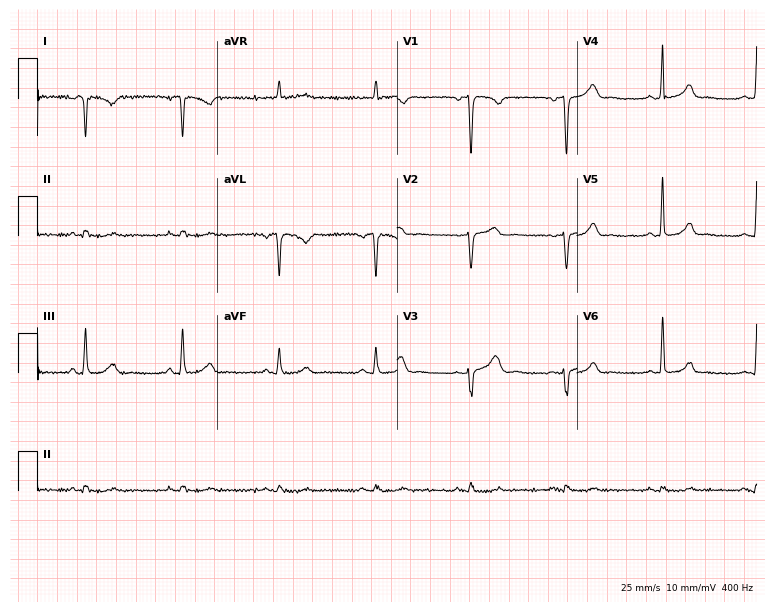
ECG — a woman, 51 years old. Screened for six findings — first-degree AV block, right bundle branch block (RBBB), left bundle branch block (LBBB), sinus bradycardia, atrial fibrillation (AF), sinus tachycardia — none is recorded.